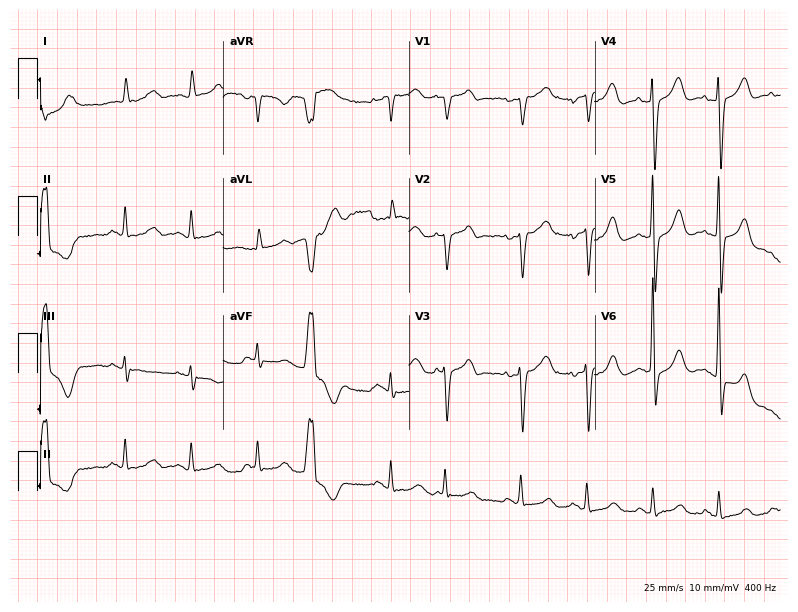
12-lead ECG from an 83-year-old female (7.6-second recording at 400 Hz). Recorded interpretation: within normal limits.